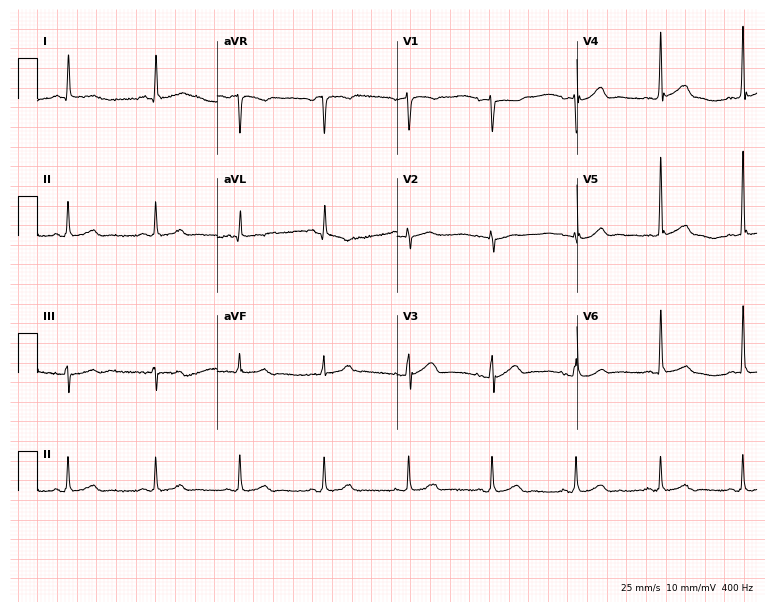
12-lead ECG (7.3-second recording at 400 Hz) from a female patient, 83 years old. Screened for six findings — first-degree AV block, right bundle branch block, left bundle branch block, sinus bradycardia, atrial fibrillation, sinus tachycardia — none is recorded.